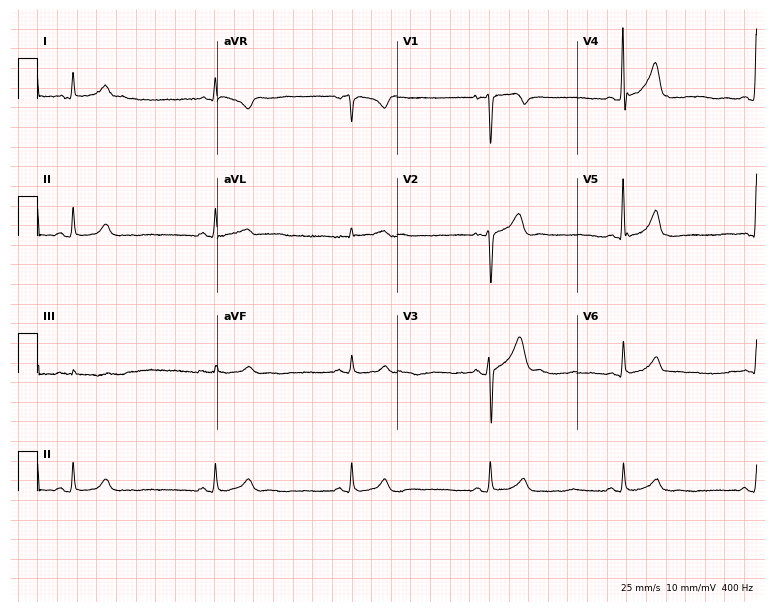
Resting 12-lead electrocardiogram (7.3-second recording at 400 Hz). Patient: a male, 53 years old. The tracing shows sinus bradycardia (a sinus rate of 50 beats per minute or less).